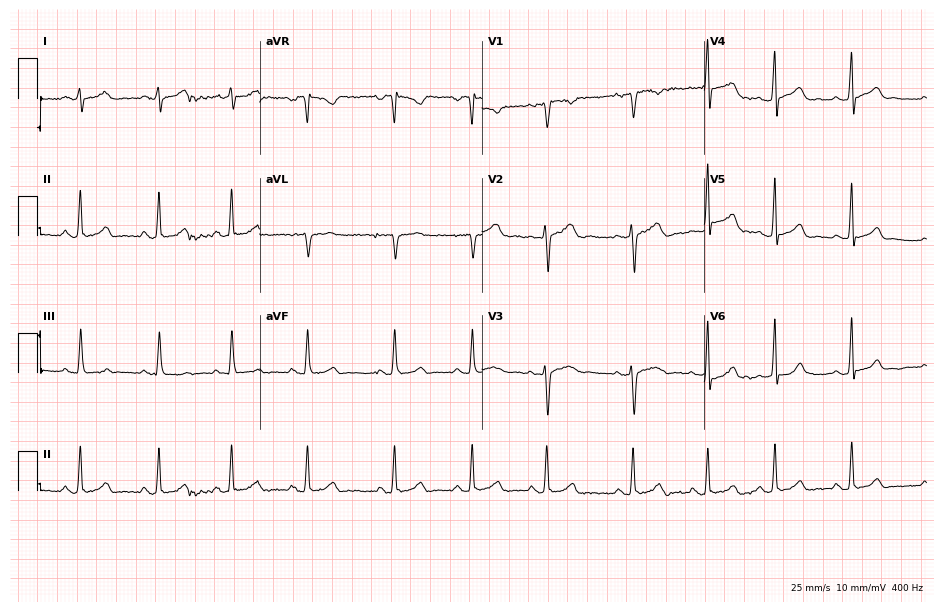
Resting 12-lead electrocardiogram (9.1-second recording at 400 Hz). Patient: a 17-year-old woman. Read as a normal ECG.